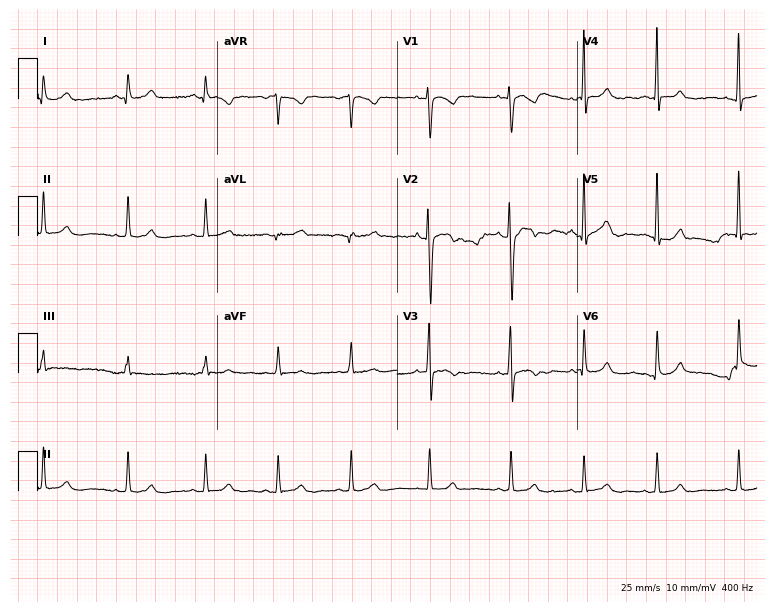
12-lead ECG from a 17-year-old female. Screened for six findings — first-degree AV block, right bundle branch block (RBBB), left bundle branch block (LBBB), sinus bradycardia, atrial fibrillation (AF), sinus tachycardia — none is recorded. Findings outside these six are not listed.